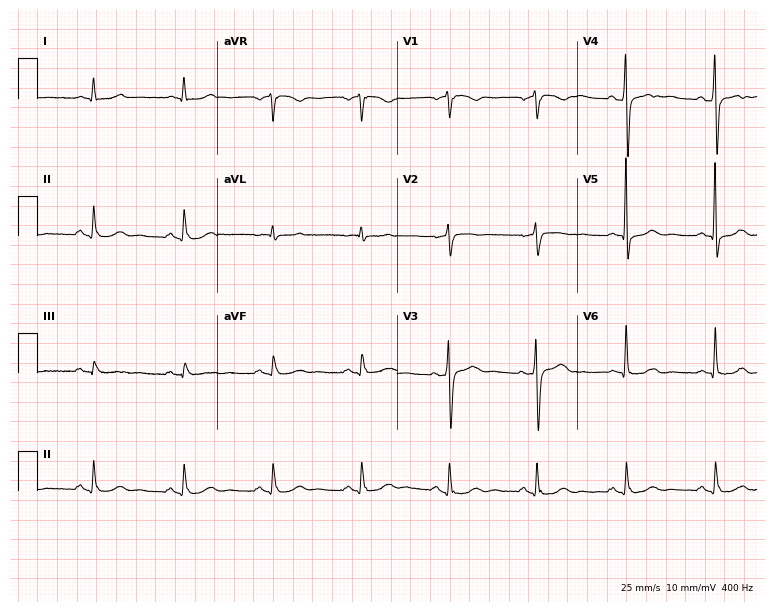
ECG — a 63-year-old male. Labelled as a normal ECG.